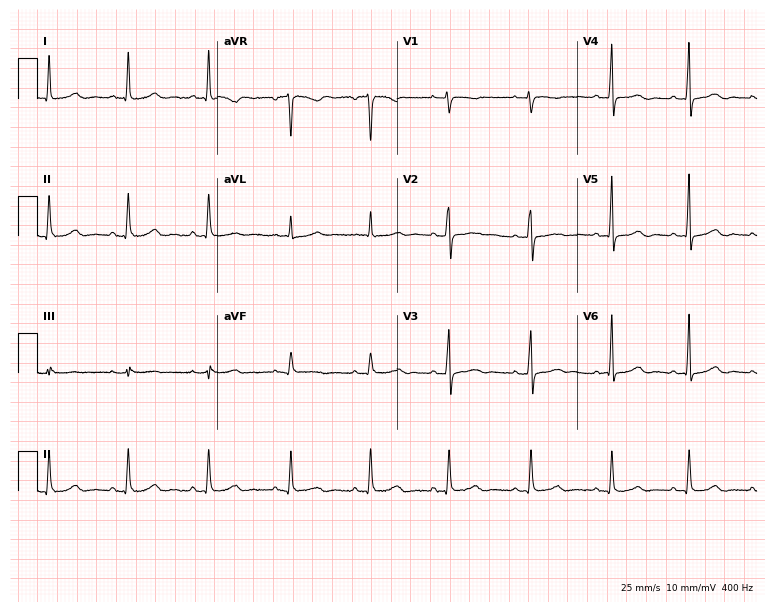
Standard 12-lead ECG recorded from a woman, 32 years old. None of these six findings is recorded: first-degree AV block, right bundle branch block, left bundle branch block, sinus bradycardia, atrial fibrillation, sinus tachycardia. Only these six findings were labelled.